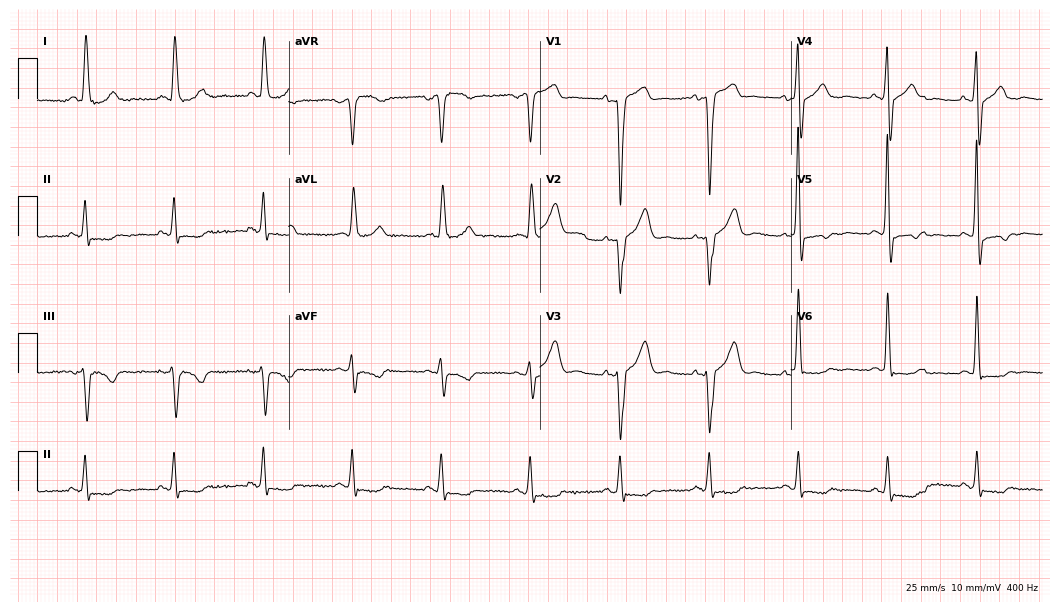
12-lead ECG (10.2-second recording at 400 Hz) from a male, 55 years old. Screened for six findings — first-degree AV block, right bundle branch block (RBBB), left bundle branch block (LBBB), sinus bradycardia, atrial fibrillation (AF), sinus tachycardia — none is recorded. Other findings, if any, are not listed.